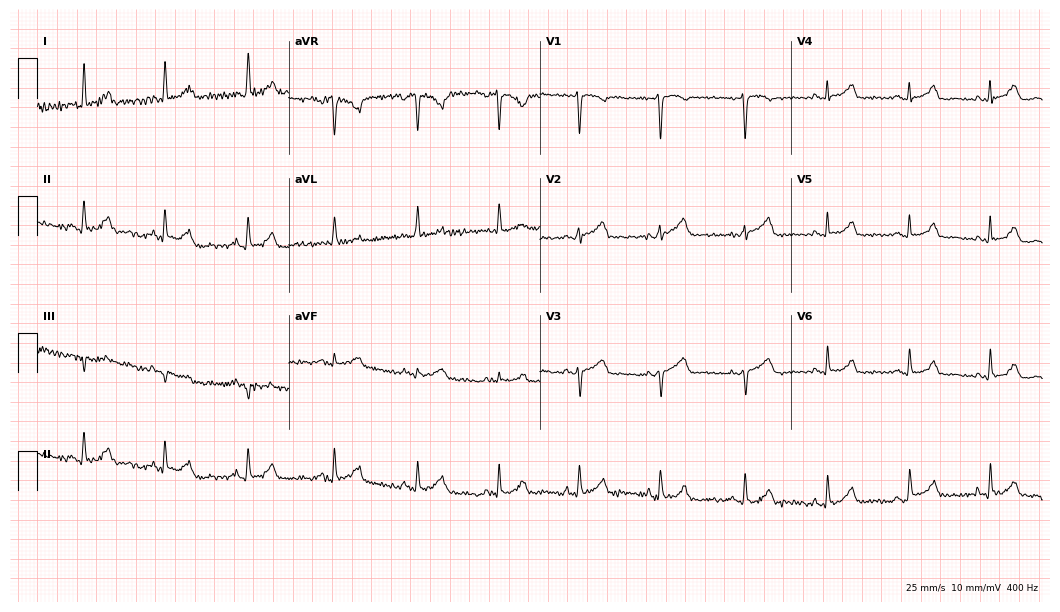
12-lead ECG from a woman, 54 years old. Screened for six findings — first-degree AV block, right bundle branch block, left bundle branch block, sinus bradycardia, atrial fibrillation, sinus tachycardia — none is recorded. Other findings, if any, are not listed.